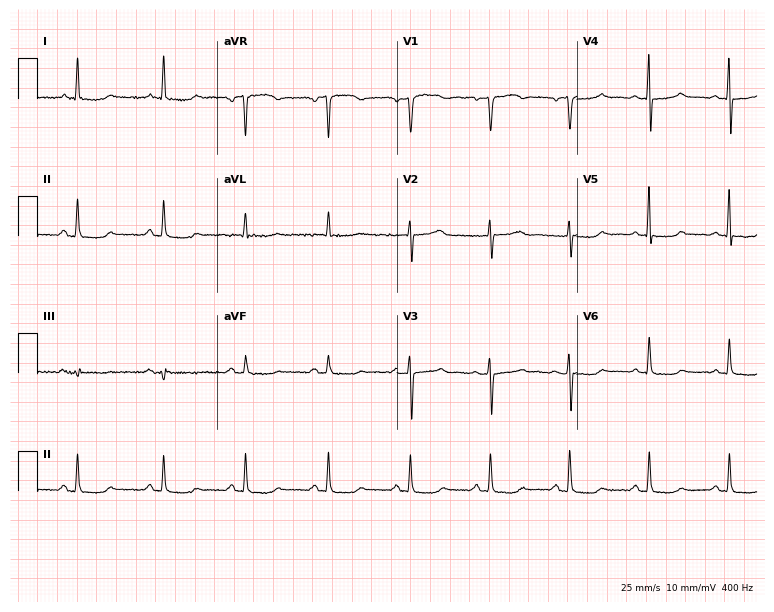
12-lead ECG (7.3-second recording at 400 Hz) from a 60-year-old female. Screened for six findings — first-degree AV block, right bundle branch block, left bundle branch block, sinus bradycardia, atrial fibrillation, sinus tachycardia — none is recorded. Other findings, if any, are not listed.